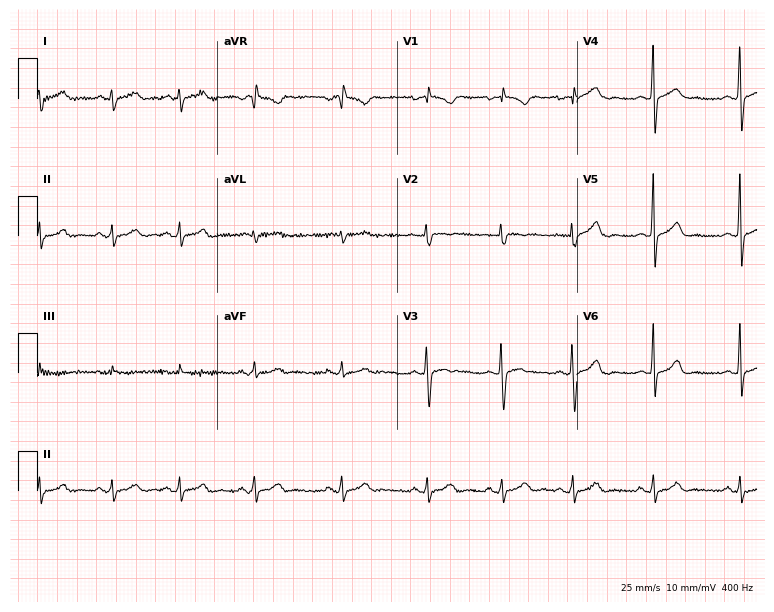
Standard 12-lead ECG recorded from a 26-year-old female patient. None of these six findings is recorded: first-degree AV block, right bundle branch block, left bundle branch block, sinus bradycardia, atrial fibrillation, sinus tachycardia. Findings outside these six are not listed.